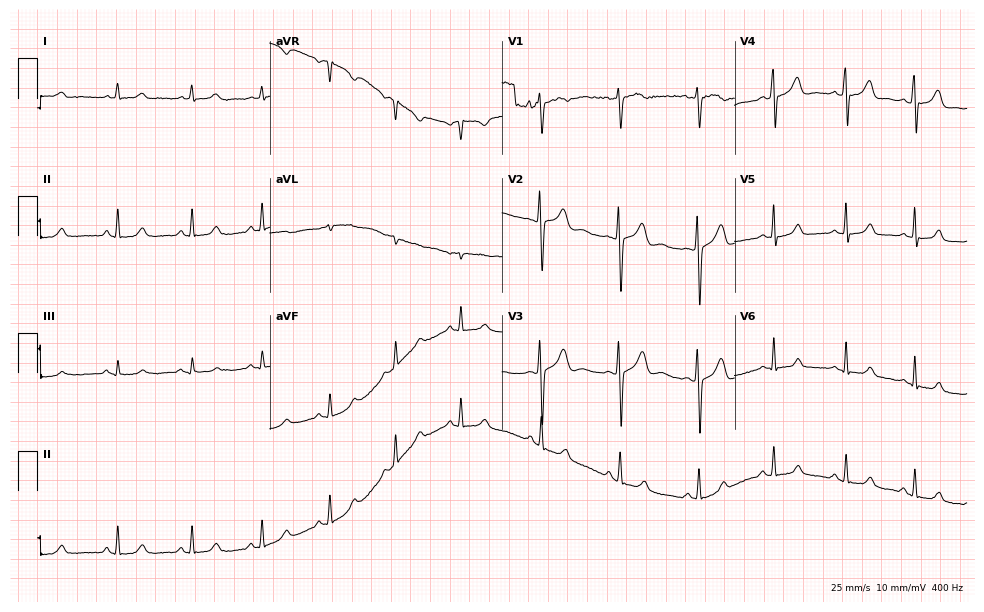
12-lead ECG from a woman, 22 years old. Labelled as a normal ECG.